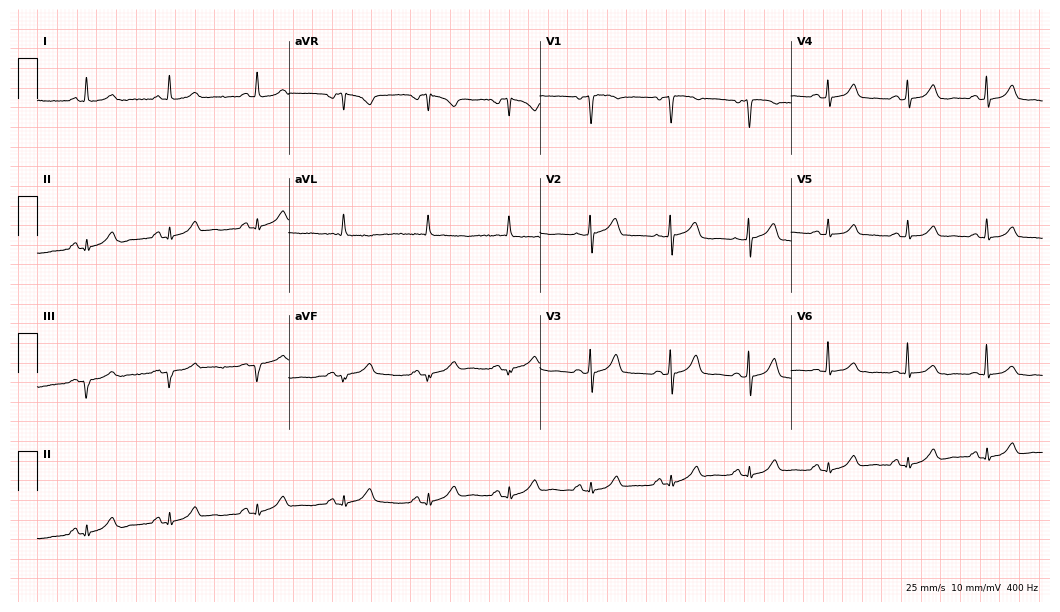
Resting 12-lead electrocardiogram. Patient: a 49-year-old female. None of these six findings is recorded: first-degree AV block, right bundle branch block, left bundle branch block, sinus bradycardia, atrial fibrillation, sinus tachycardia.